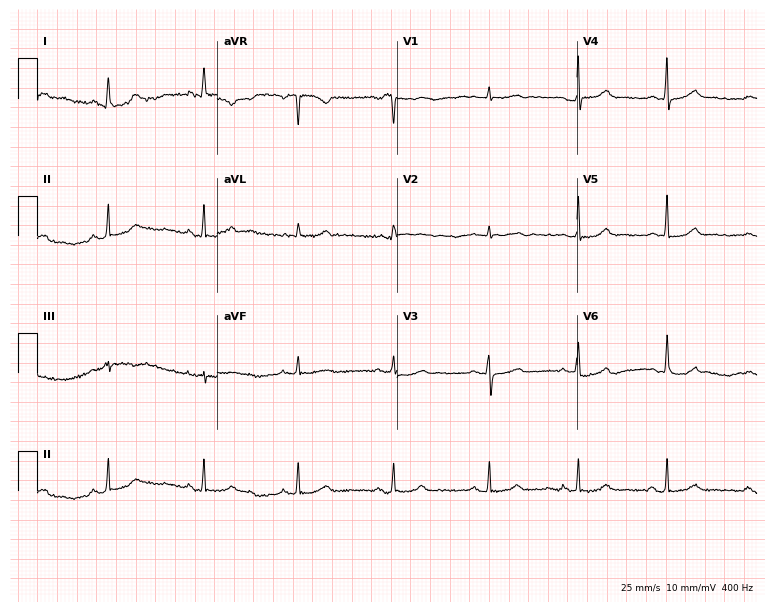
Electrocardiogram (7.3-second recording at 400 Hz), a 33-year-old female patient. Overall reading on record: normal ECG.